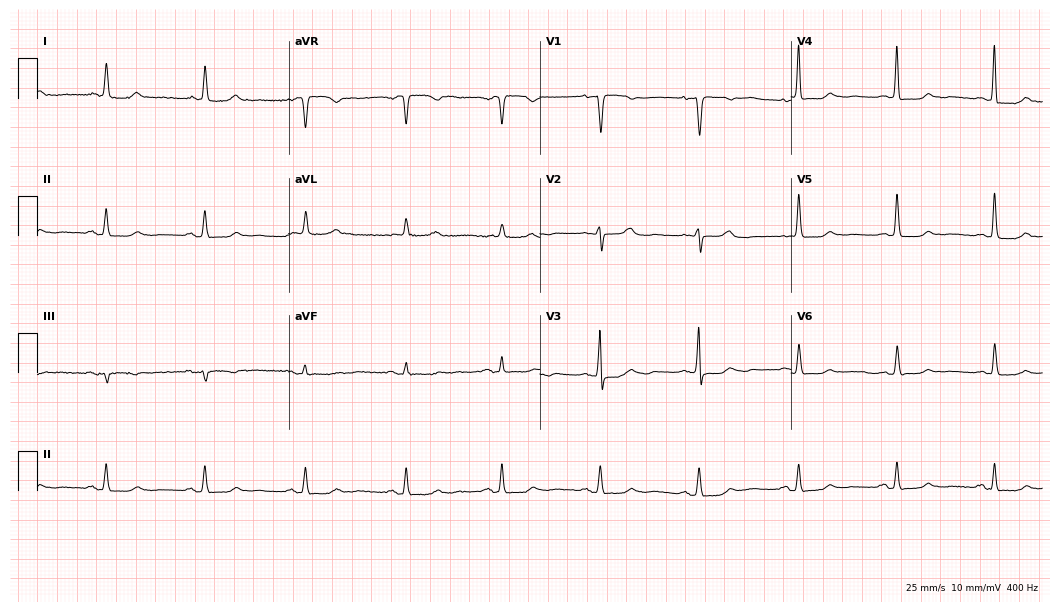
Electrocardiogram, an 83-year-old woman. Of the six screened findings (first-degree AV block, right bundle branch block (RBBB), left bundle branch block (LBBB), sinus bradycardia, atrial fibrillation (AF), sinus tachycardia), none is recorded. Findings outside these six are not listed.